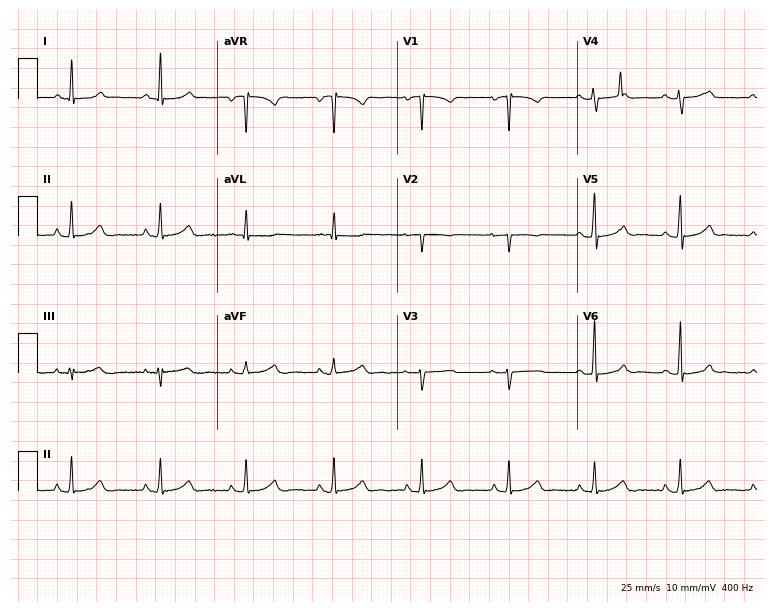
12-lead ECG from a 51-year-old woman. Labelled as a normal ECG.